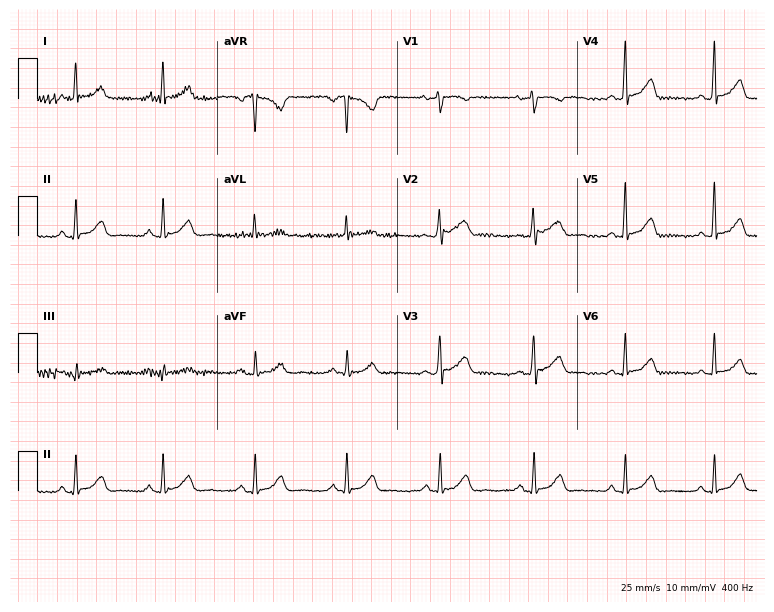
Electrocardiogram, a 63-year-old woman. Overall reading on record: normal ECG.